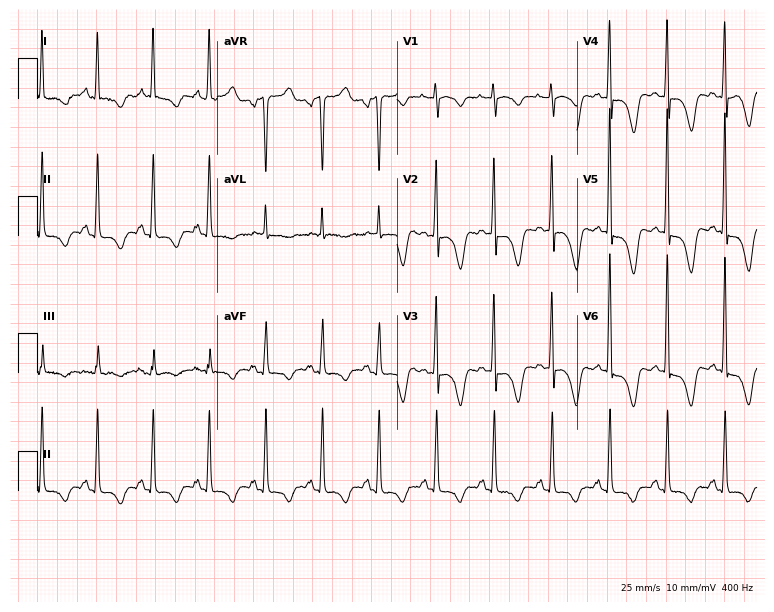
Standard 12-lead ECG recorded from a 77-year-old female. None of these six findings is recorded: first-degree AV block, right bundle branch block (RBBB), left bundle branch block (LBBB), sinus bradycardia, atrial fibrillation (AF), sinus tachycardia.